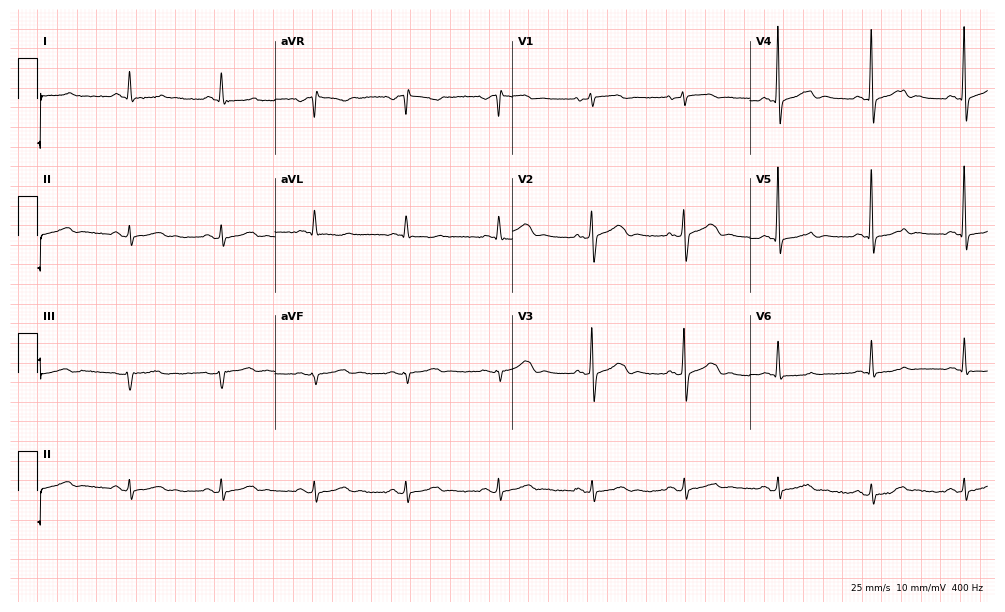
Standard 12-lead ECG recorded from an 85-year-old female (9.7-second recording at 400 Hz). Read as a normal ECG.